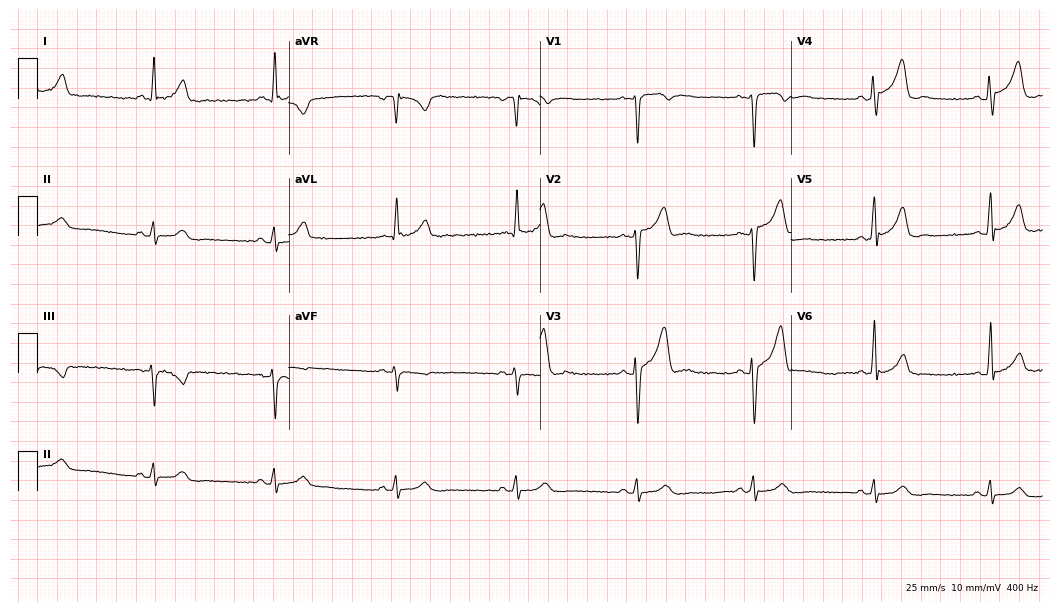
Resting 12-lead electrocardiogram (10.2-second recording at 400 Hz). Patient: a 40-year-old male. The tracing shows sinus bradycardia (a sinus rate of 50 beats per minute or less).